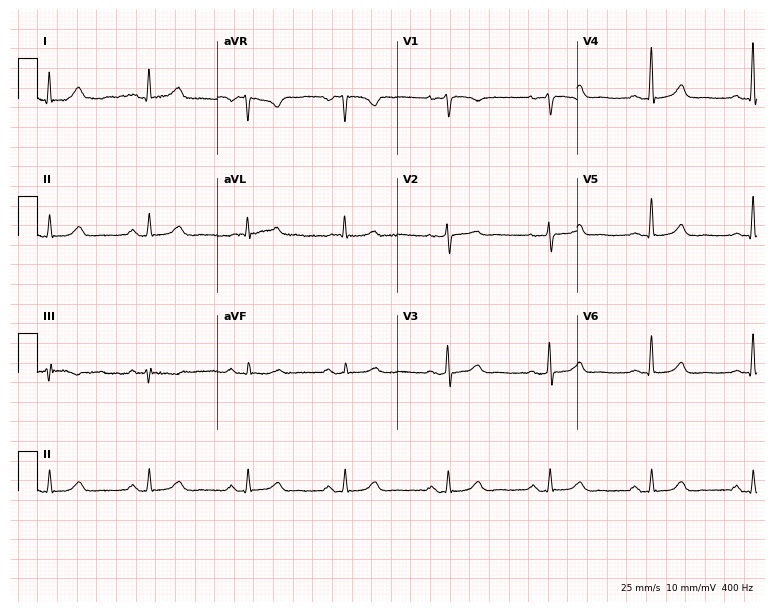
12-lead ECG from a 58-year-old woman (7.3-second recording at 400 Hz). Recorded interpretation: within normal limits.